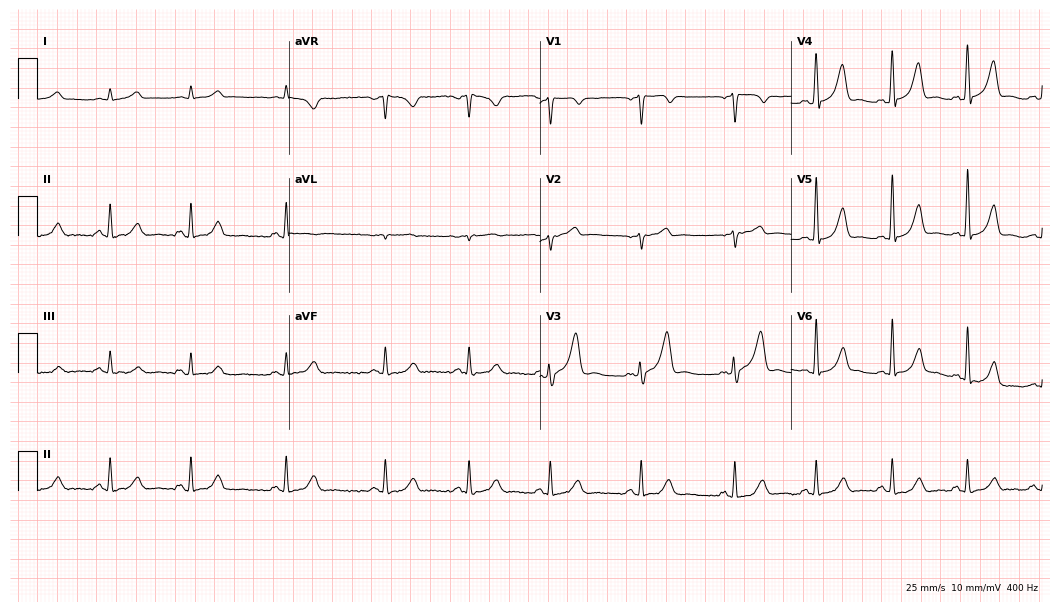
12-lead ECG (10.2-second recording at 400 Hz) from a 48-year-old man. Labelled as a normal ECG.